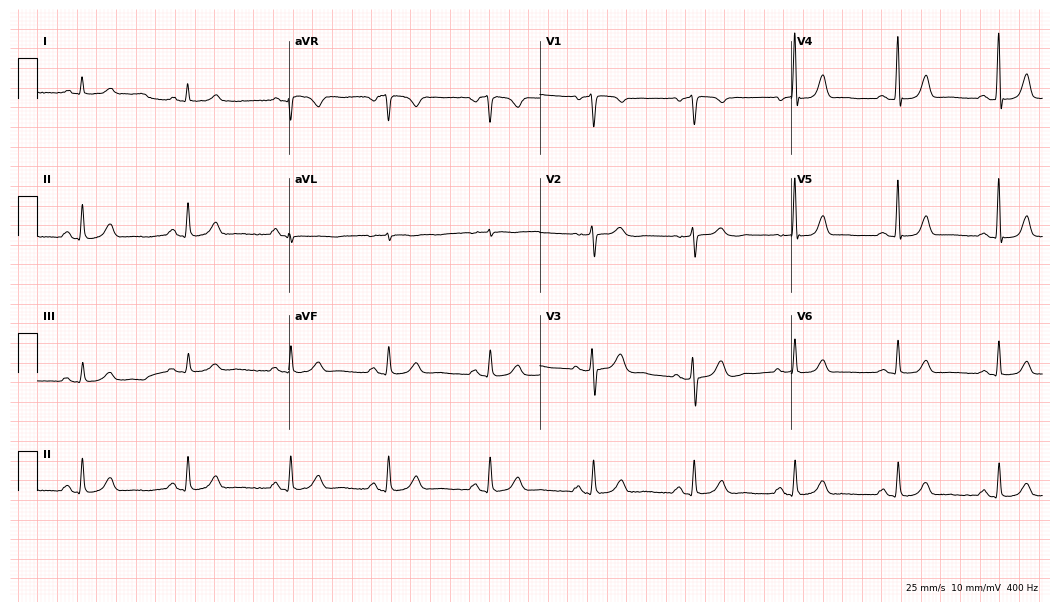
Resting 12-lead electrocardiogram (10.2-second recording at 400 Hz). Patient: a female, 54 years old. Read as a normal ECG.